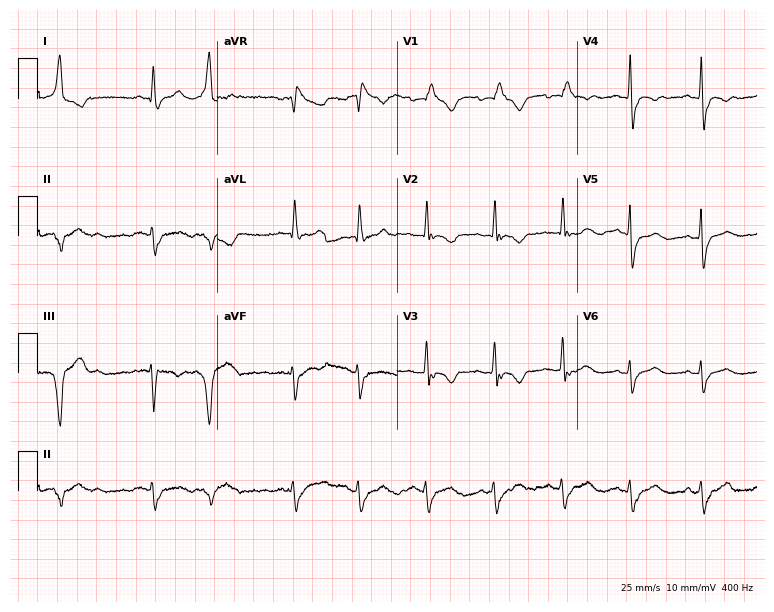
Standard 12-lead ECG recorded from a 55-year-old woman. The tracing shows right bundle branch block.